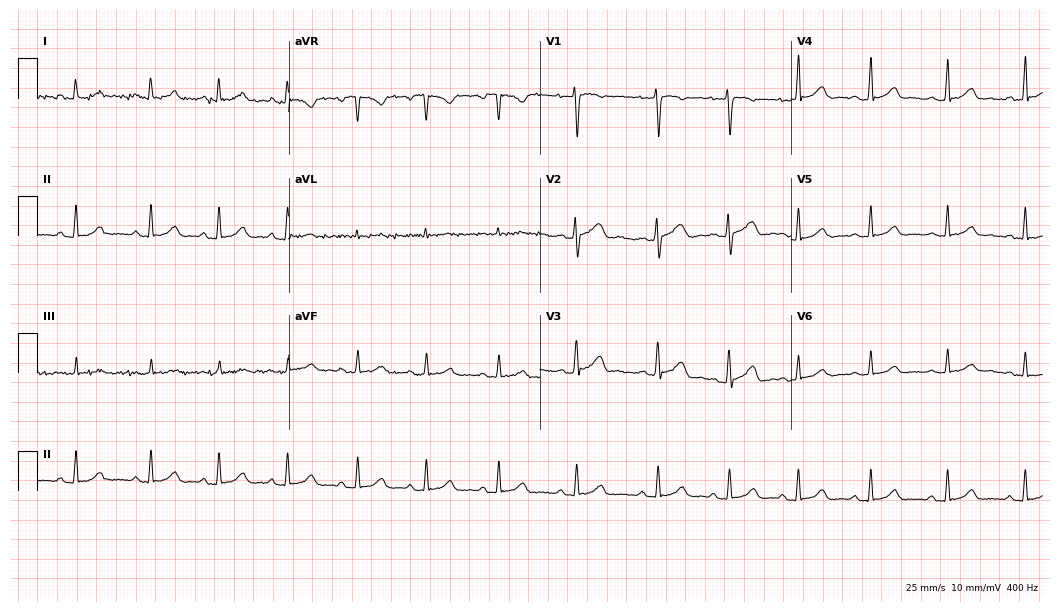
12-lead ECG from a 20-year-old female (10.2-second recording at 400 Hz). Recorded interpretation: within normal limits.